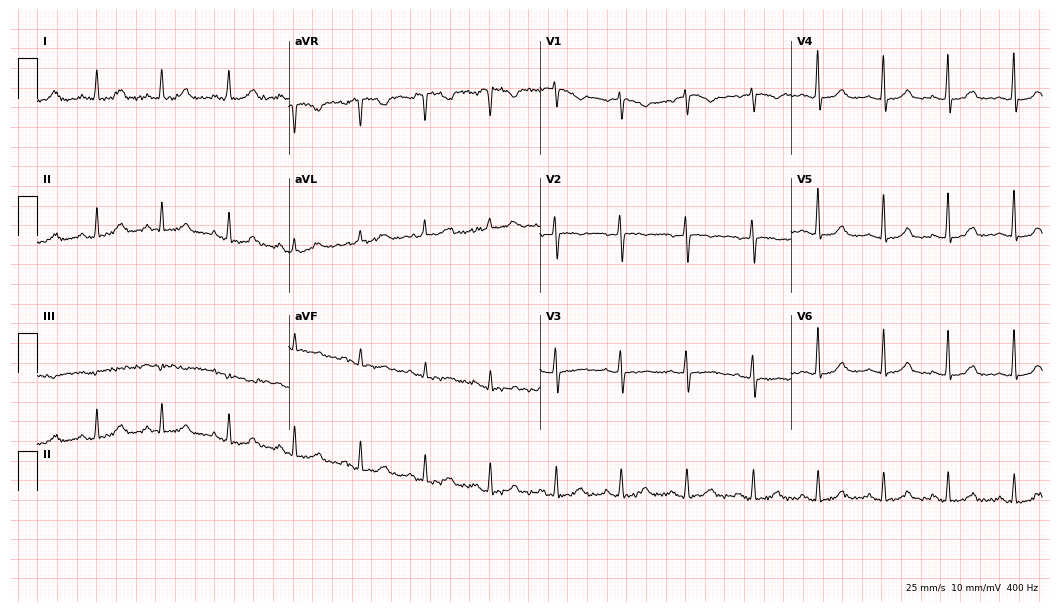
Standard 12-lead ECG recorded from a female patient, 59 years old (10.2-second recording at 400 Hz). Read as a normal ECG.